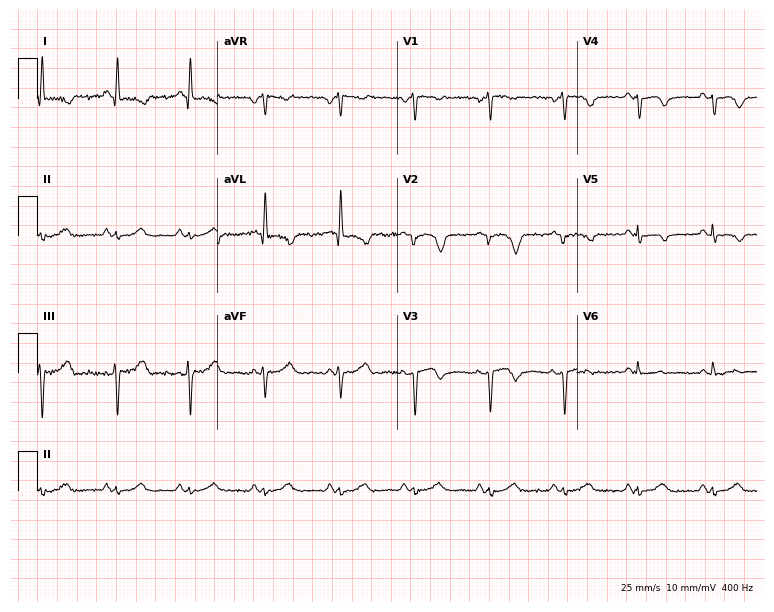
Standard 12-lead ECG recorded from a female, 50 years old (7.3-second recording at 400 Hz). None of these six findings is recorded: first-degree AV block, right bundle branch block, left bundle branch block, sinus bradycardia, atrial fibrillation, sinus tachycardia.